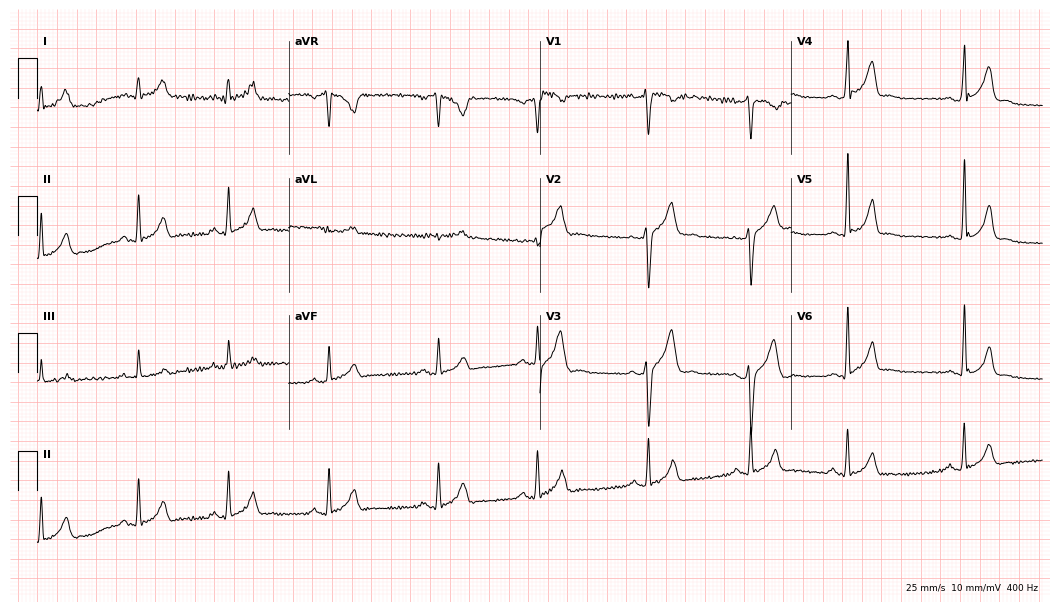
Resting 12-lead electrocardiogram. Patient: a 28-year-old male. Read as a normal ECG.